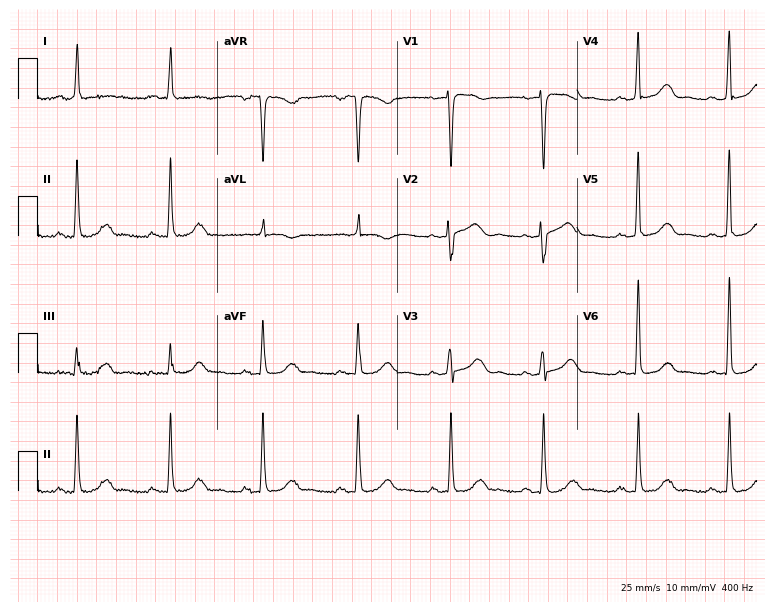
Resting 12-lead electrocardiogram. Patient: a 57-year-old woman. Read as a normal ECG.